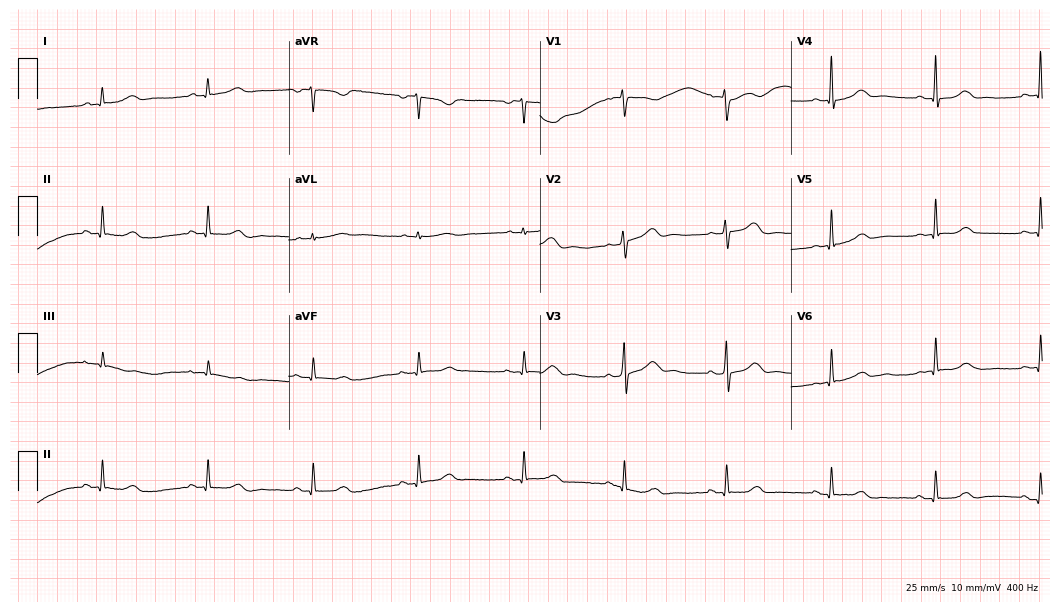
12-lead ECG from a woman, 53 years old. Labelled as a normal ECG.